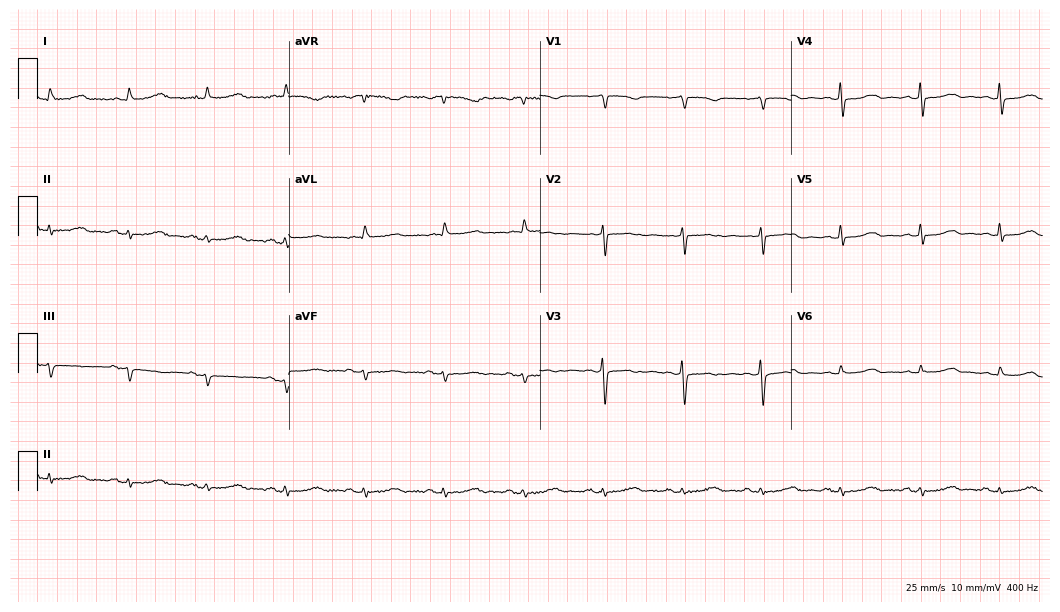
ECG — a female patient, 72 years old. Screened for six findings — first-degree AV block, right bundle branch block, left bundle branch block, sinus bradycardia, atrial fibrillation, sinus tachycardia — none is recorded.